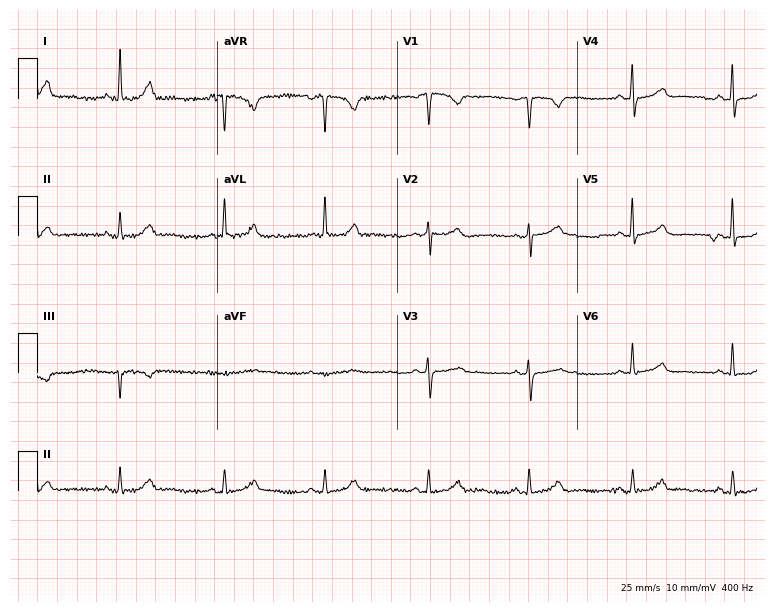
12-lead ECG from a 68-year-old female patient. No first-degree AV block, right bundle branch block, left bundle branch block, sinus bradycardia, atrial fibrillation or sinus tachycardia recorded for this tracing. Other findings, if any, are not listed.